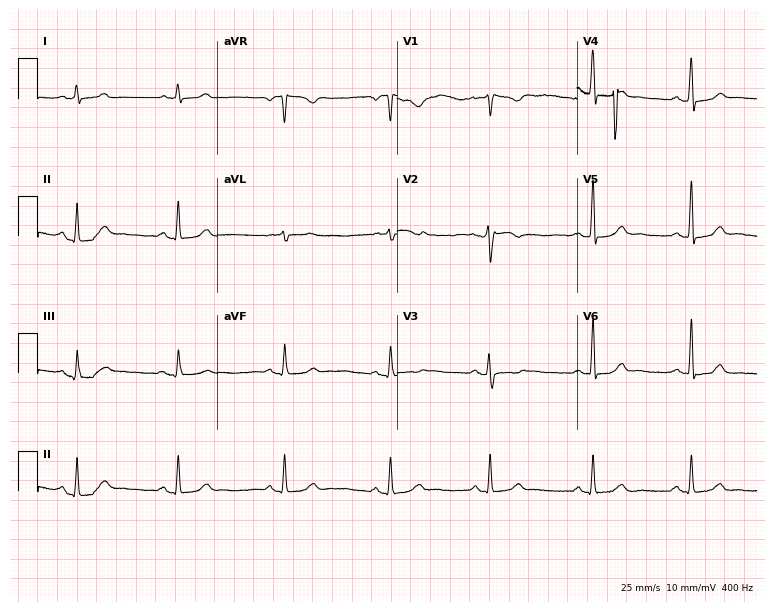
Standard 12-lead ECG recorded from a woman, 37 years old (7.3-second recording at 400 Hz). None of these six findings is recorded: first-degree AV block, right bundle branch block (RBBB), left bundle branch block (LBBB), sinus bradycardia, atrial fibrillation (AF), sinus tachycardia. Findings outside these six are not listed.